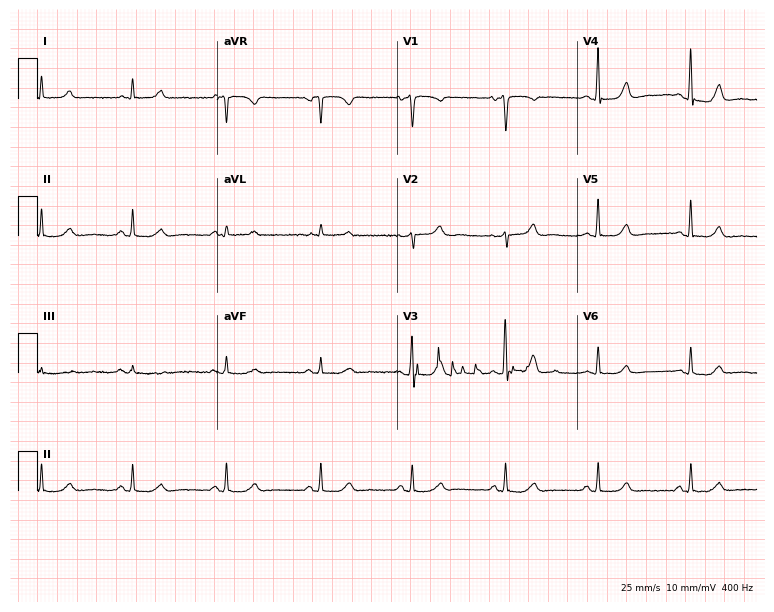
Electrocardiogram, a 57-year-old woman. Of the six screened findings (first-degree AV block, right bundle branch block, left bundle branch block, sinus bradycardia, atrial fibrillation, sinus tachycardia), none is recorded.